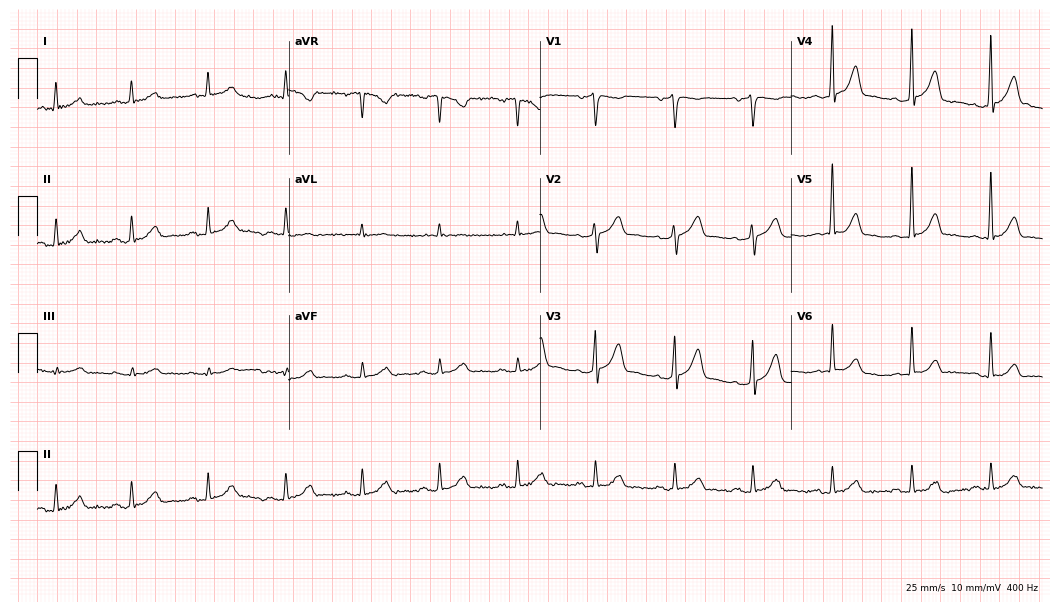
Electrocardiogram, a male patient, 53 years old. Of the six screened findings (first-degree AV block, right bundle branch block, left bundle branch block, sinus bradycardia, atrial fibrillation, sinus tachycardia), none is recorded.